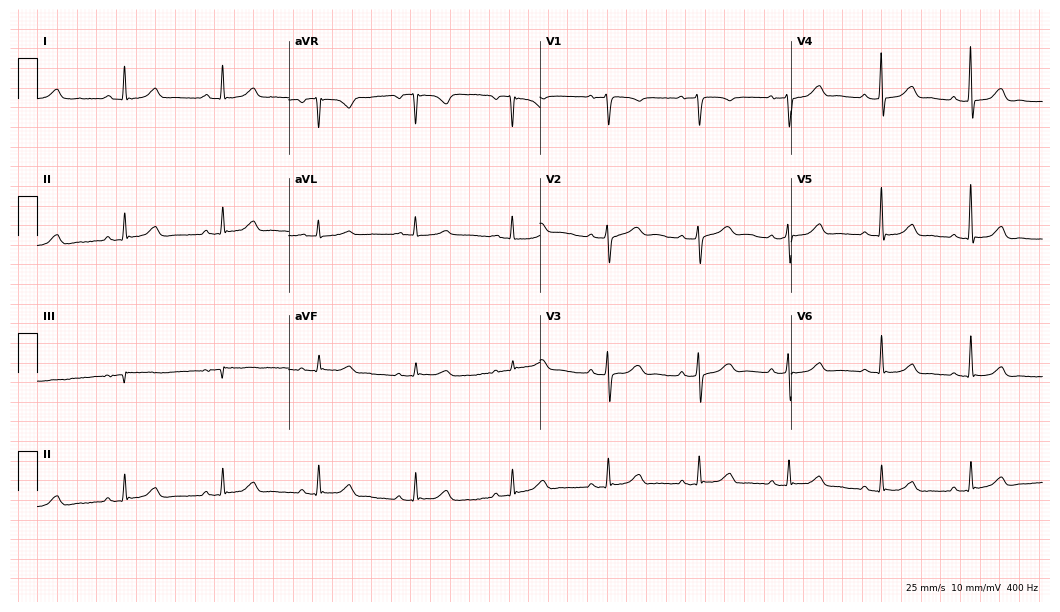
12-lead ECG from a female patient, 64 years old (10.2-second recording at 400 Hz). Recorded interpretation: within normal limits.